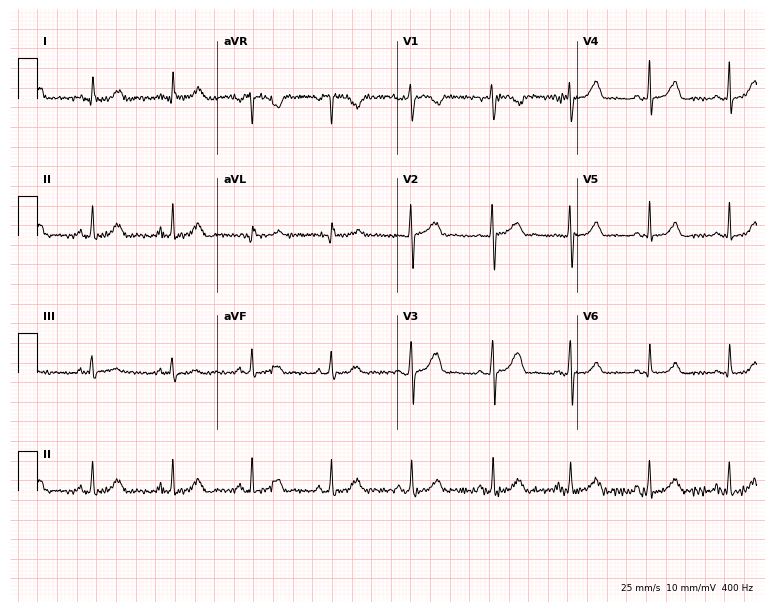
Standard 12-lead ECG recorded from a woman, 21 years old (7.3-second recording at 400 Hz). Read as a normal ECG.